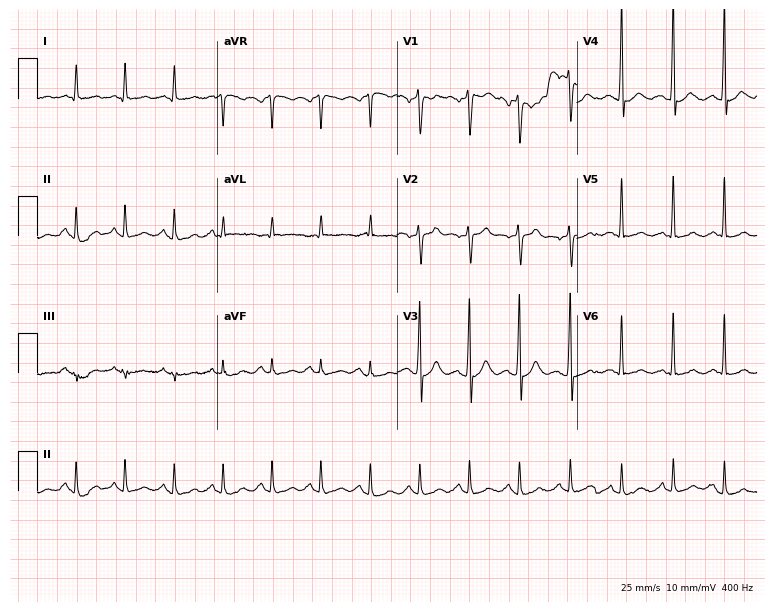
Resting 12-lead electrocardiogram. Patient: a 35-year-old male. The tracing shows sinus tachycardia (a sinus rate of 100 beats per minute or more).